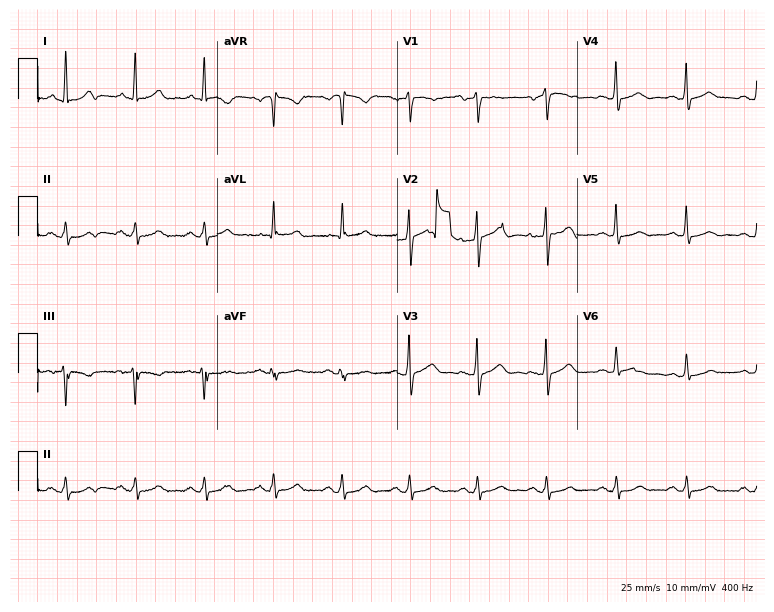
ECG (7.3-second recording at 400 Hz) — a 59-year-old man. Labelled as a normal ECG.